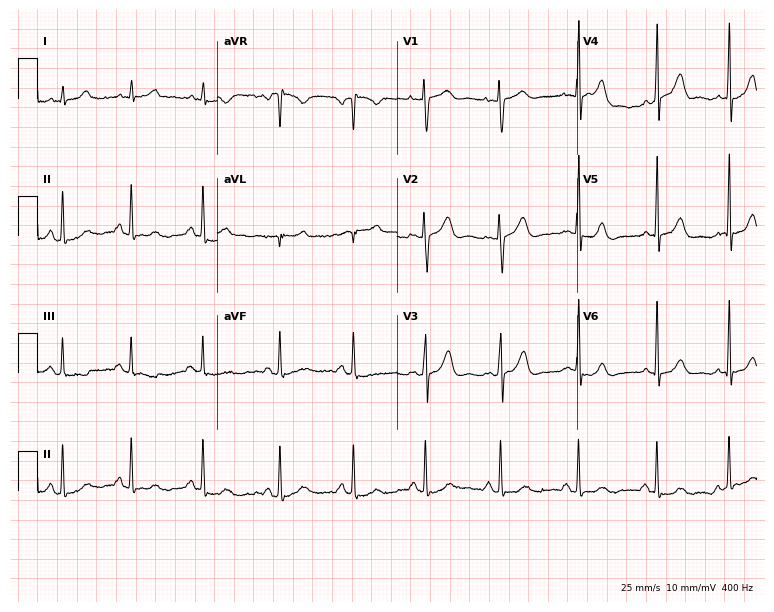
Standard 12-lead ECG recorded from a female, 42 years old. Read as a normal ECG.